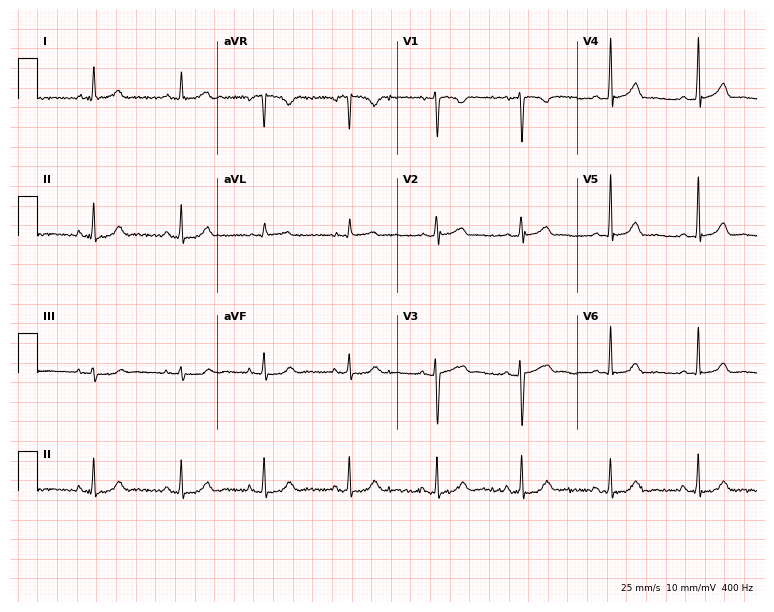
Electrocardiogram, a 31-year-old woman. Overall reading on record: normal ECG.